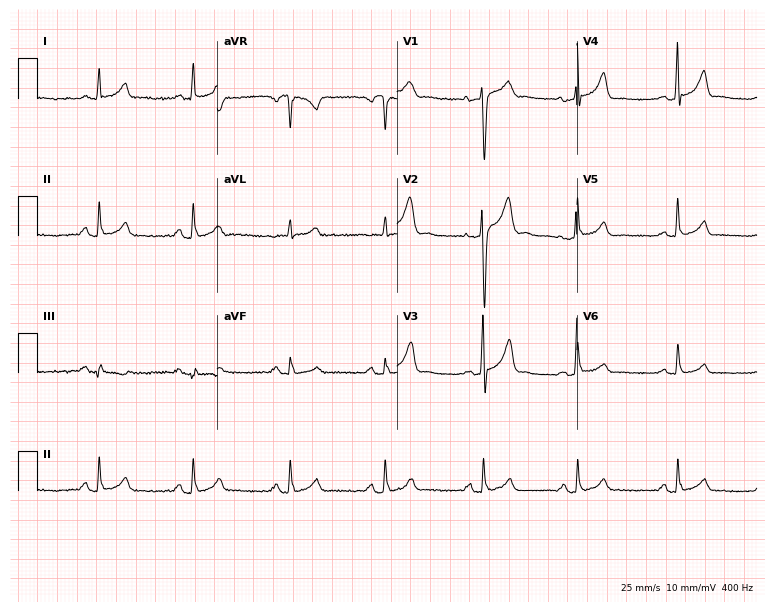
12-lead ECG from a male, 28 years old. Recorded interpretation: within normal limits.